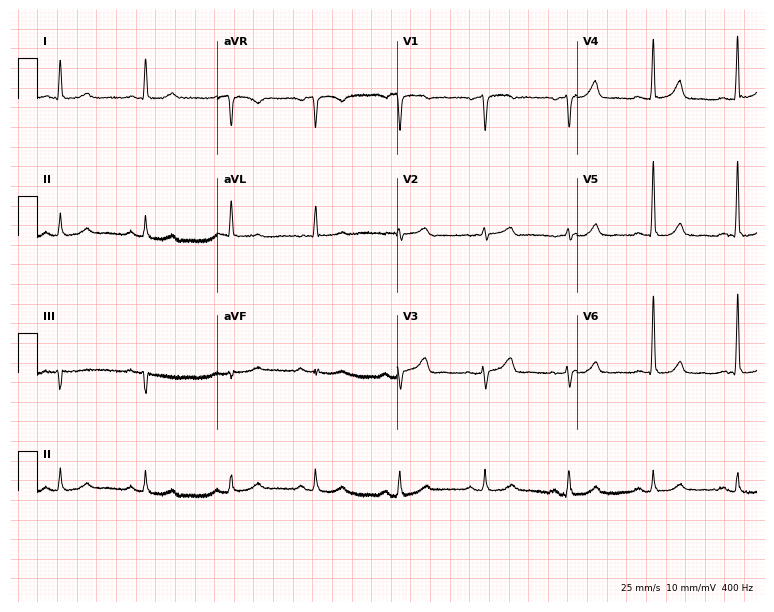
Electrocardiogram (7.3-second recording at 400 Hz), a male, 86 years old. Overall reading on record: normal ECG.